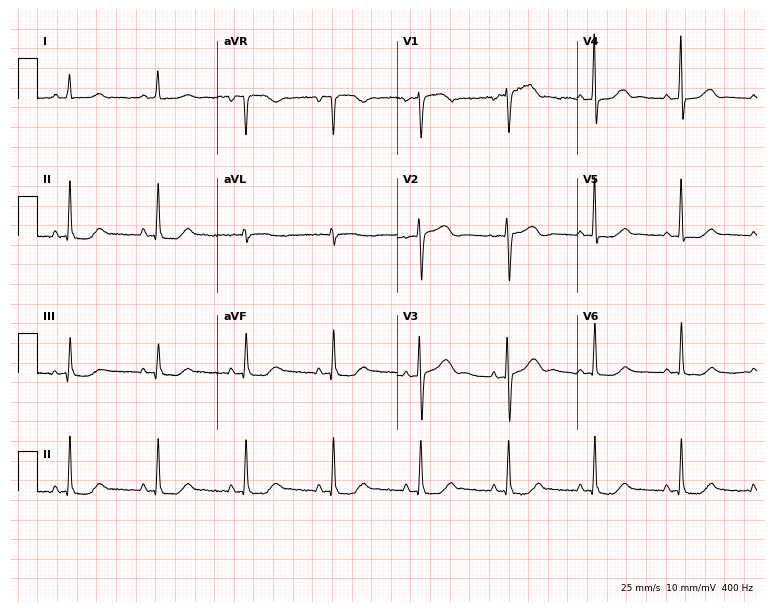
ECG (7.3-second recording at 400 Hz) — a 69-year-old female. Labelled as a normal ECG.